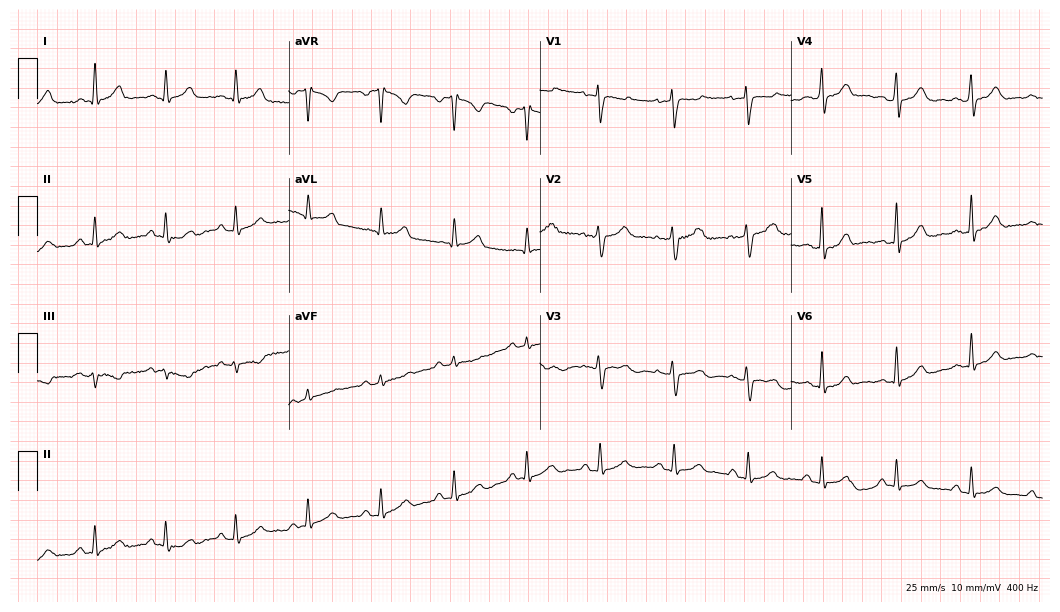
12-lead ECG from a woman, 54 years old (10.2-second recording at 400 Hz). Recorded interpretation: within normal limits.